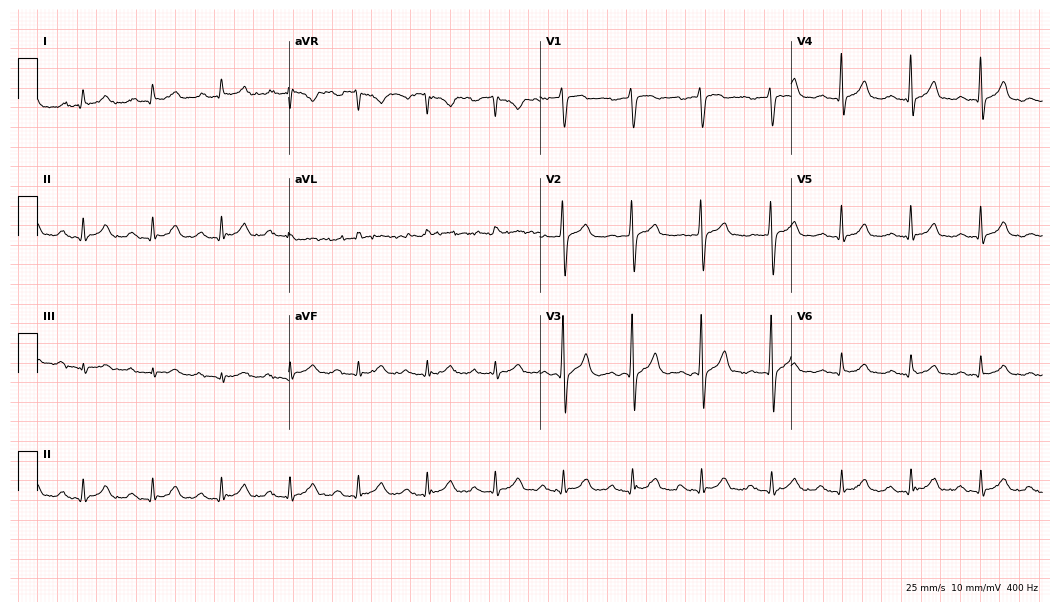
Resting 12-lead electrocardiogram (10.2-second recording at 400 Hz). Patient: a male, 74 years old. The tracing shows first-degree AV block.